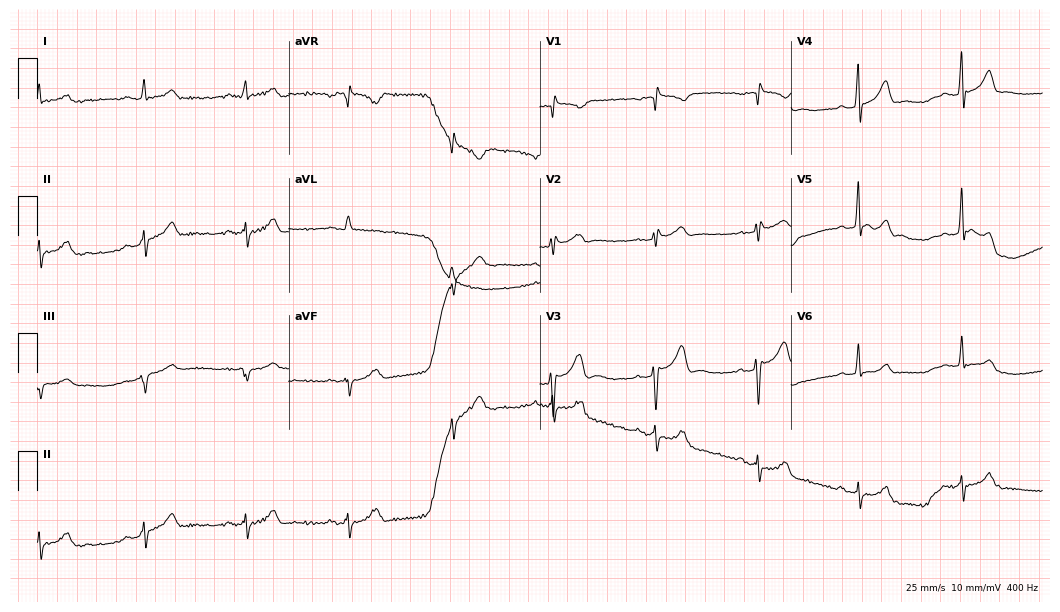
ECG (10.2-second recording at 400 Hz) — a 76-year-old man. Labelled as a normal ECG.